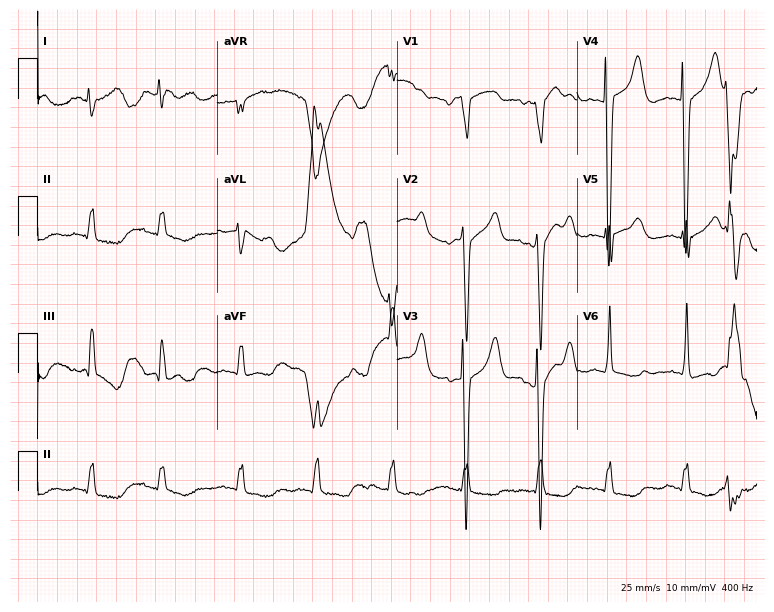
Standard 12-lead ECG recorded from a man, 69 years old (7.3-second recording at 400 Hz). None of these six findings is recorded: first-degree AV block, right bundle branch block (RBBB), left bundle branch block (LBBB), sinus bradycardia, atrial fibrillation (AF), sinus tachycardia. Only these six findings were labelled.